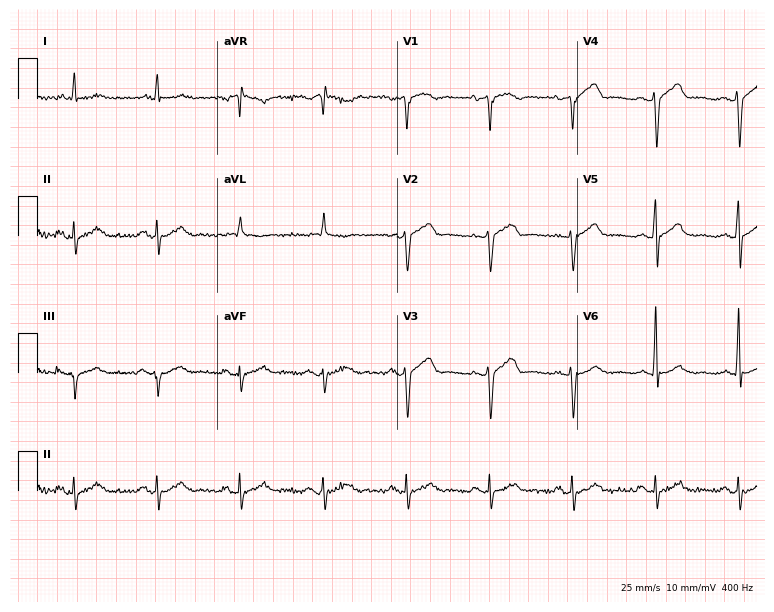
Electrocardiogram, a male patient, 75 years old. Of the six screened findings (first-degree AV block, right bundle branch block (RBBB), left bundle branch block (LBBB), sinus bradycardia, atrial fibrillation (AF), sinus tachycardia), none is recorded. Only these six findings were labelled.